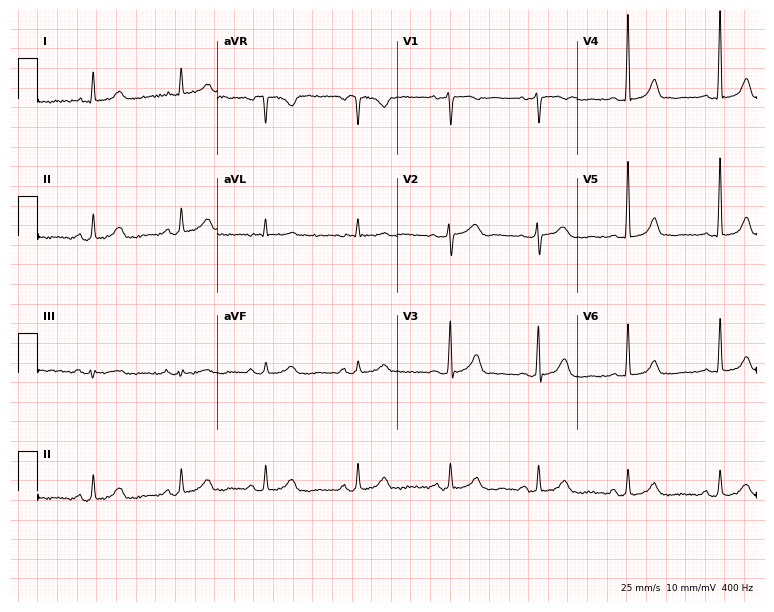
Standard 12-lead ECG recorded from a woman, 41 years old (7.3-second recording at 400 Hz). None of these six findings is recorded: first-degree AV block, right bundle branch block (RBBB), left bundle branch block (LBBB), sinus bradycardia, atrial fibrillation (AF), sinus tachycardia. Only these six findings were labelled.